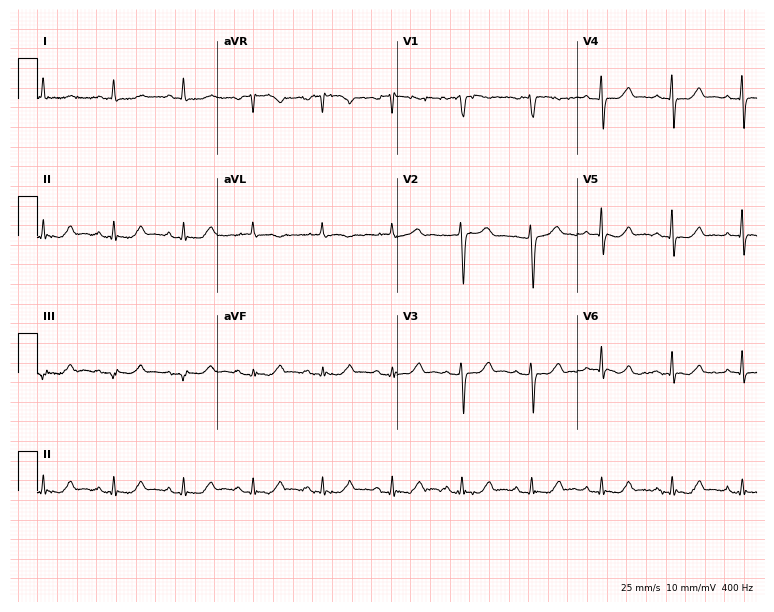
Resting 12-lead electrocardiogram. Patient: a 66-year-old female. None of these six findings is recorded: first-degree AV block, right bundle branch block (RBBB), left bundle branch block (LBBB), sinus bradycardia, atrial fibrillation (AF), sinus tachycardia.